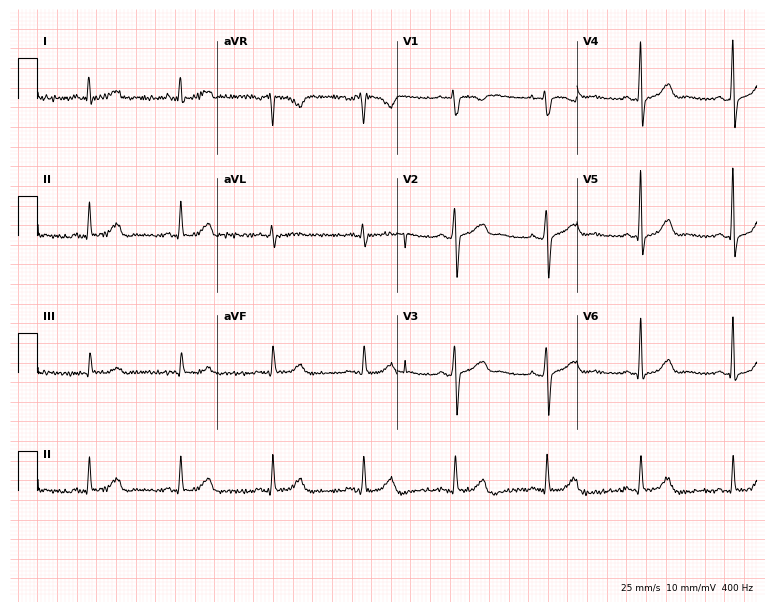
ECG — a 39-year-old woman. Screened for six findings — first-degree AV block, right bundle branch block, left bundle branch block, sinus bradycardia, atrial fibrillation, sinus tachycardia — none is recorded.